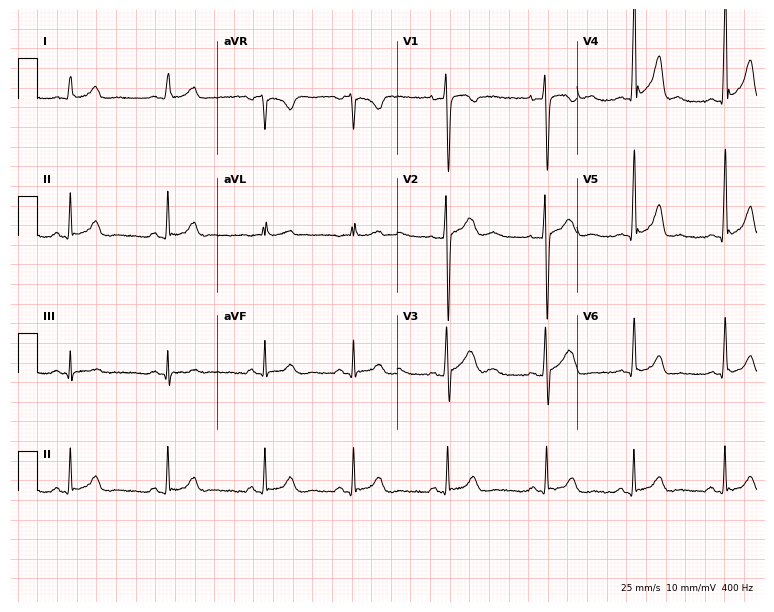
Standard 12-lead ECG recorded from a male patient, 17 years old. Read as a normal ECG.